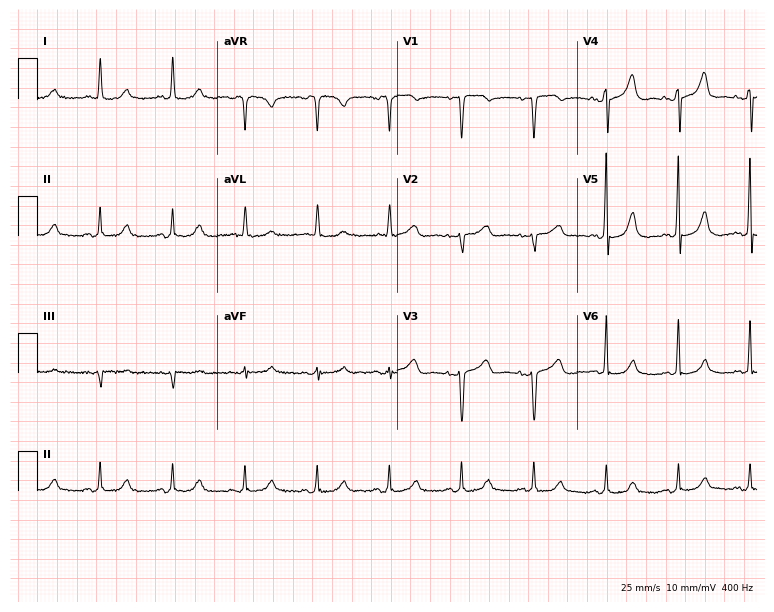
12-lead ECG from a 65-year-old female. Recorded interpretation: within normal limits.